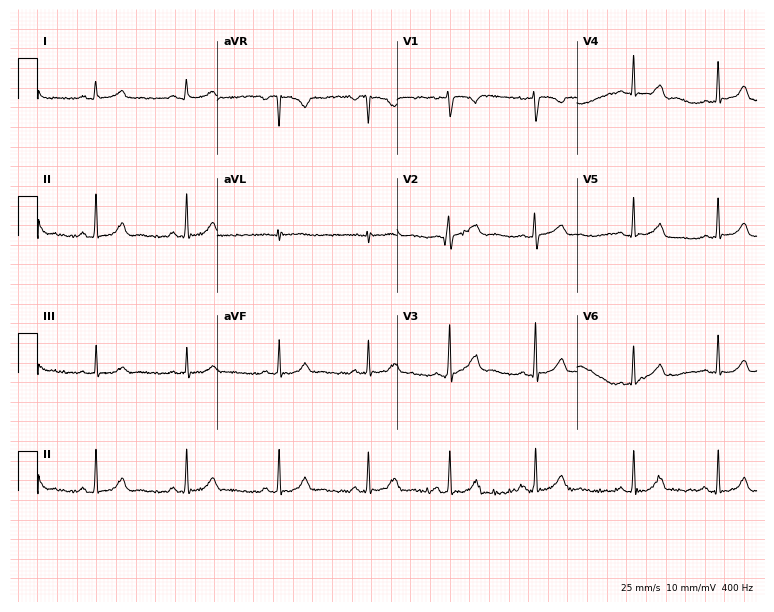
Electrocardiogram, a 17-year-old woman. Overall reading on record: normal ECG.